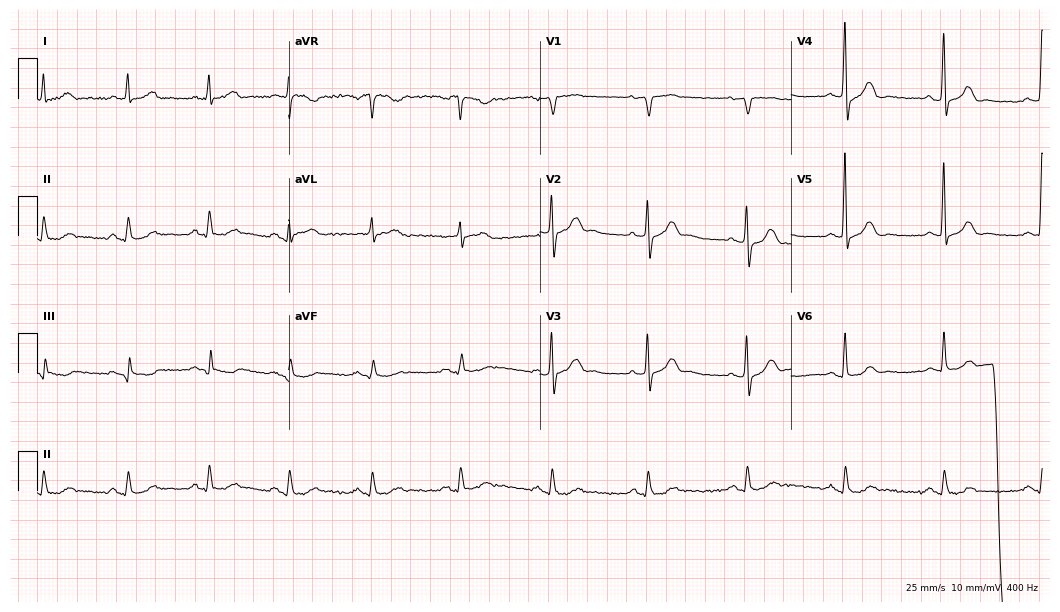
12-lead ECG from a male patient, 68 years old (10.2-second recording at 400 Hz). No first-degree AV block, right bundle branch block, left bundle branch block, sinus bradycardia, atrial fibrillation or sinus tachycardia recorded for this tracing.